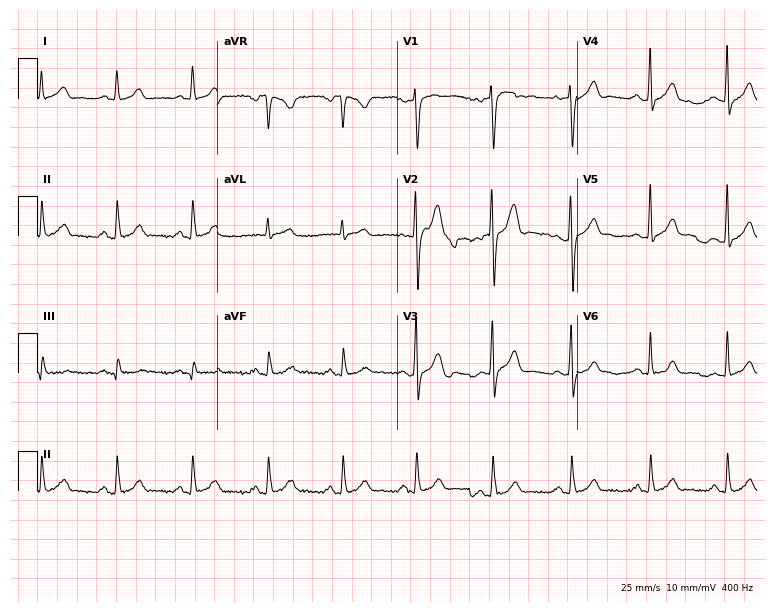
12-lead ECG (7.3-second recording at 400 Hz) from a 35-year-old male. Labelled as a normal ECG.